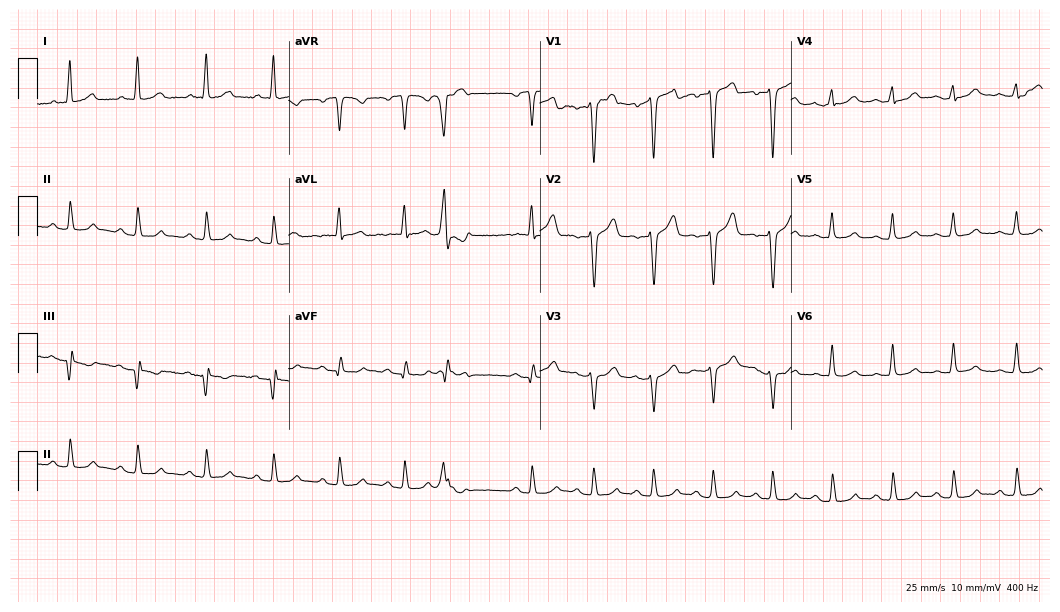
ECG (10.2-second recording at 400 Hz) — a male, 49 years old. Labelled as a normal ECG.